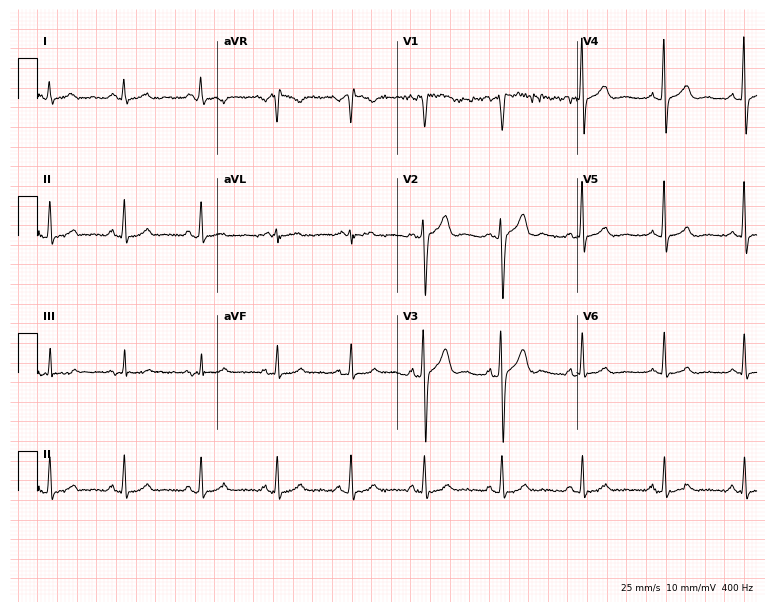
Electrocardiogram, a 24-year-old male. Overall reading on record: normal ECG.